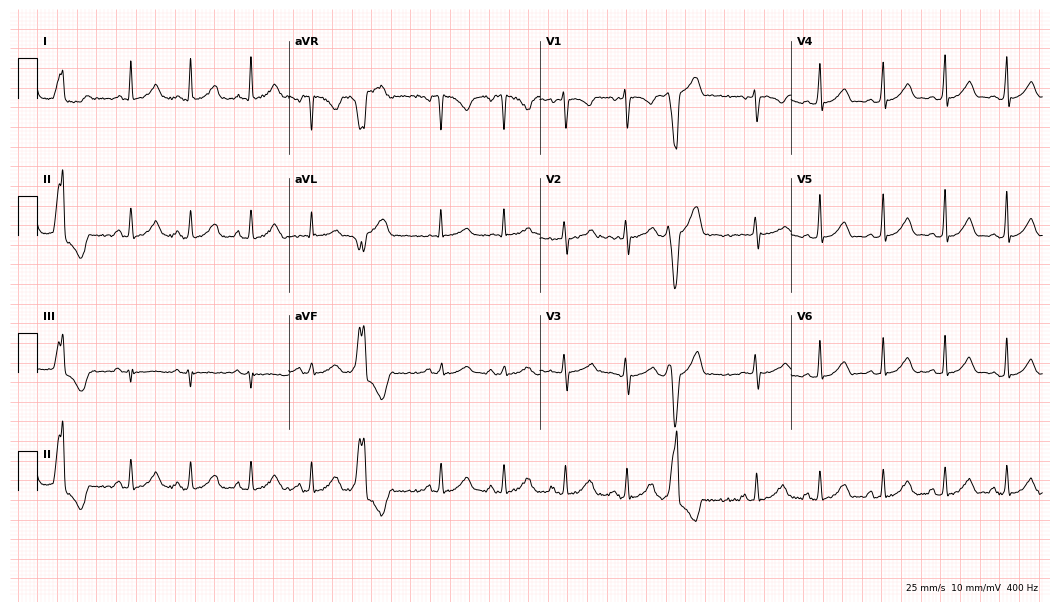
Standard 12-lead ECG recorded from a 25-year-old female. None of these six findings is recorded: first-degree AV block, right bundle branch block, left bundle branch block, sinus bradycardia, atrial fibrillation, sinus tachycardia.